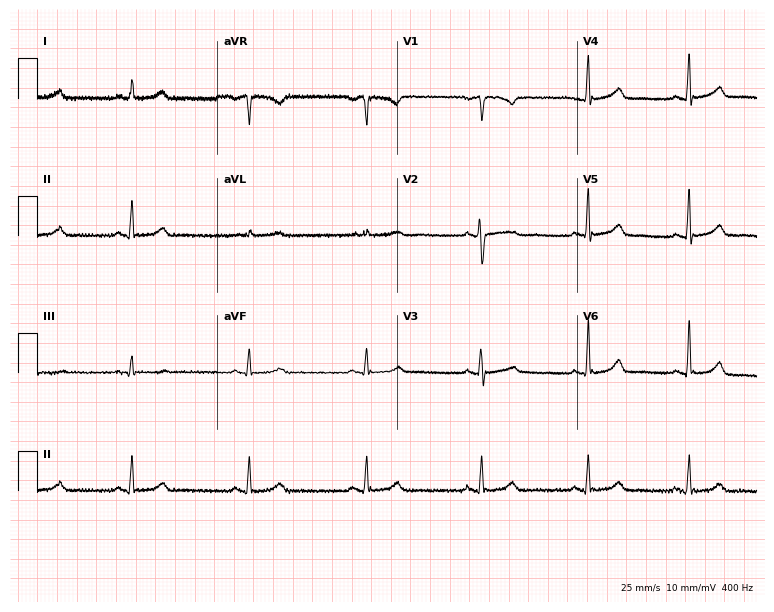
Standard 12-lead ECG recorded from a 35-year-old female patient (7.3-second recording at 400 Hz). Read as a normal ECG.